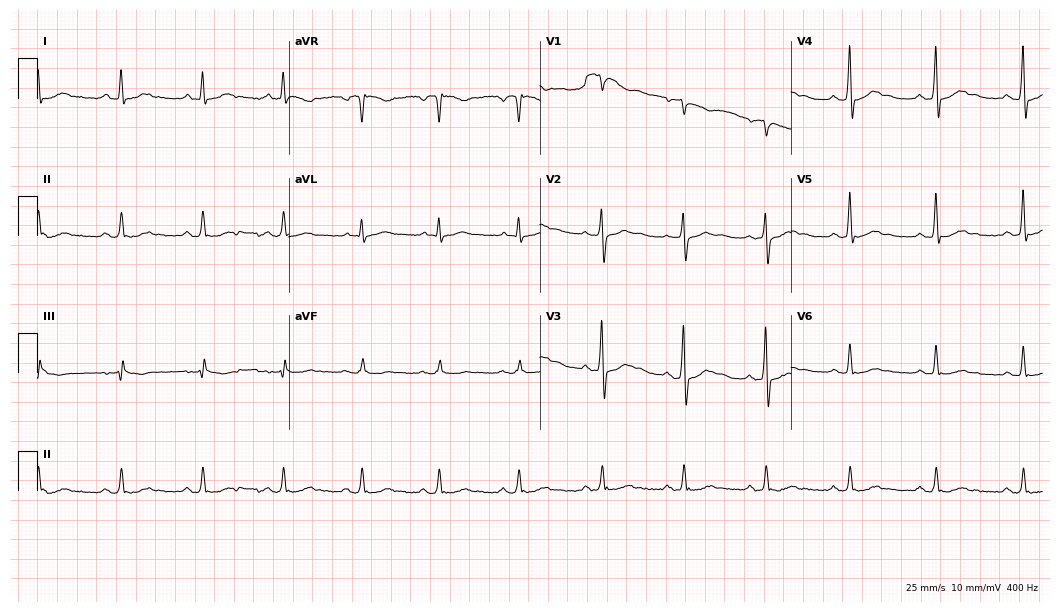
ECG (10.2-second recording at 400 Hz) — a 58-year-old male patient. Screened for six findings — first-degree AV block, right bundle branch block (RBBB), left bundle branch block (LBBB), sinus bradycardia, atrial fibrillation (AF), sinus tachycardia — none is recorded.